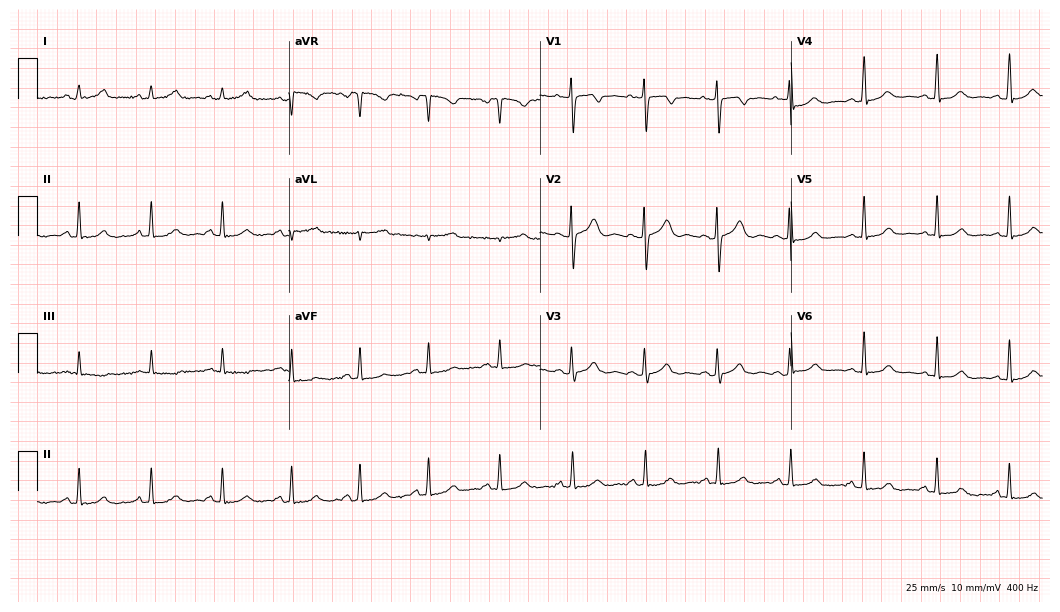
Resting 12-lead electrocardiogram (10.2-second recording at 400 Hz). Patient: a female, 39 years old. None of these six findings is recorded: first-degree AV block, right bundle branch block, left bundle branch block, sinus bradycardia, atrial fibrillation, sinus tachycardia. Only these six findings were labelled.